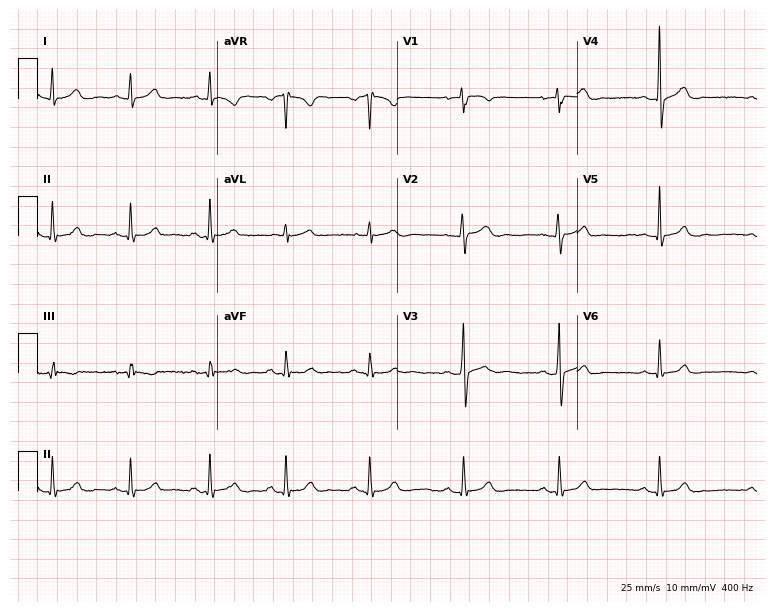
ECG — a male, 25 years old. Labelled as a normal ECG.